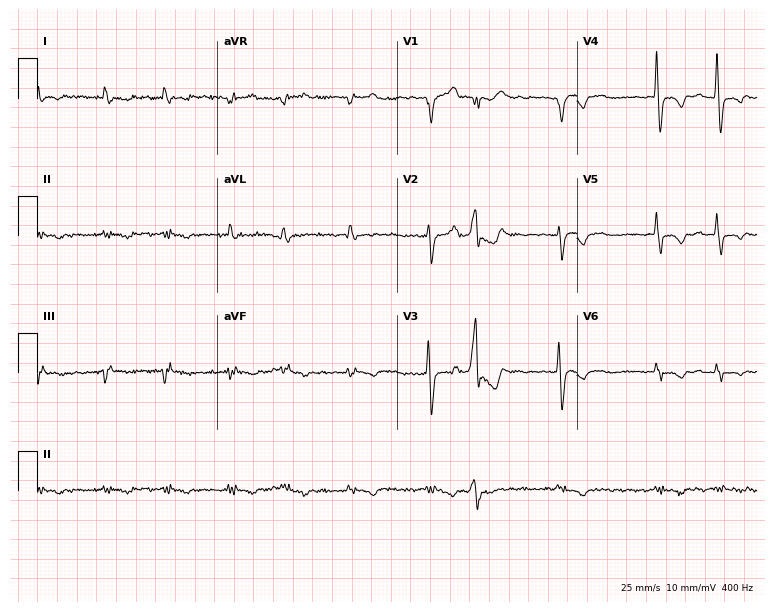
Standard 12-lead ECG recorded from a male patient, 64 years old (7.3-second recording at 400 Hz). The tracing shows atrial fibrillation.